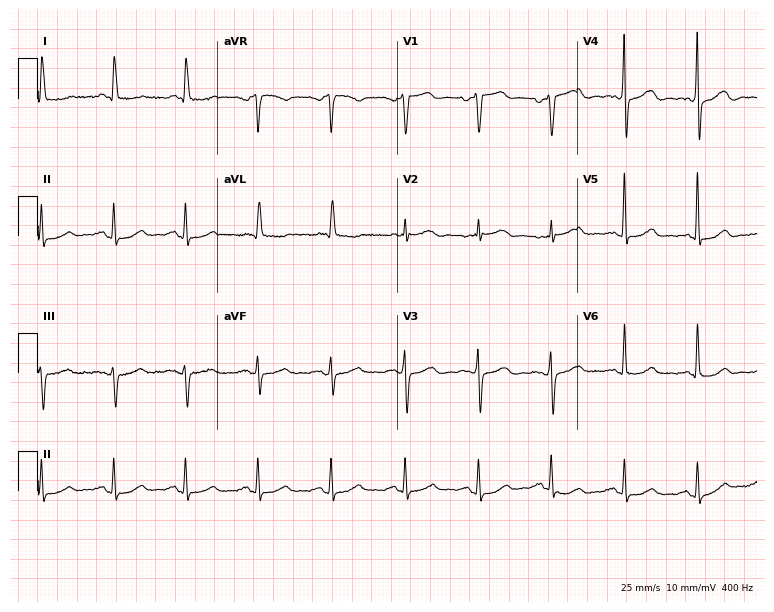
Resting 12-lead electrocardiogram (7.3-second recording at 400 Hz). Patient: a 73-year-old female. None of these six findings is recorded: first-degree AV block, right bundle branch block (RBBB), left bundle branch block (LBBB), sinus bradycardia, atrial fibrillation (AF), sinus tachycardia. Other findings, if any, are not listed.